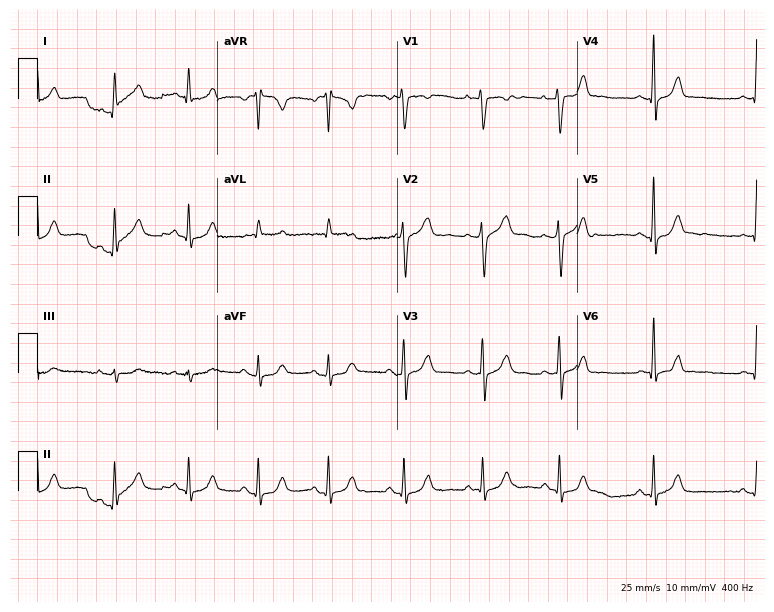
12-lead ECG from a 44-year-old woman (7.3-second recording at 400 Hz). Recorded interpretation: within normal limits.